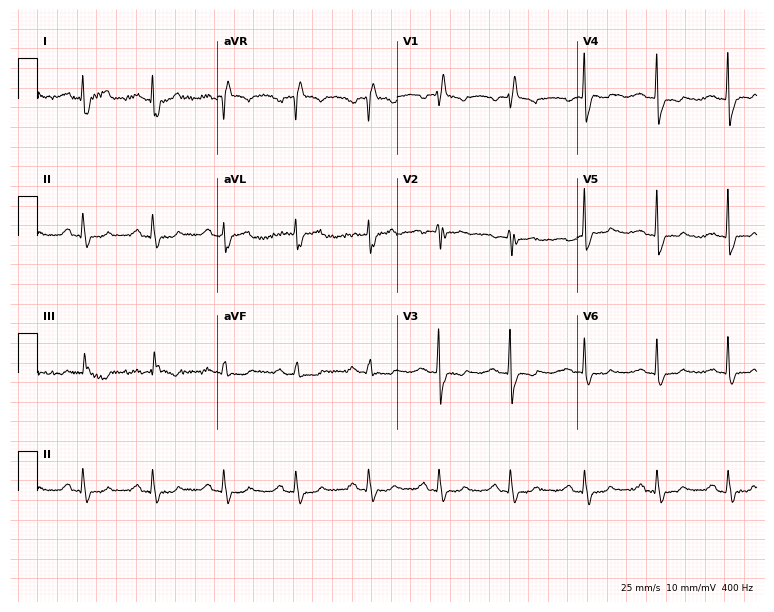
Electrocardiogram (7.3-second recording at 400 Hz), a 64-year-old female patient. Of the six screened findings (first-degree AV block, right bundle branch block, left bundle branch block, sinus bradycardia, atrial fibrillation, sinus tachycardia), none is recorded. Other findings, if any, are not listed.